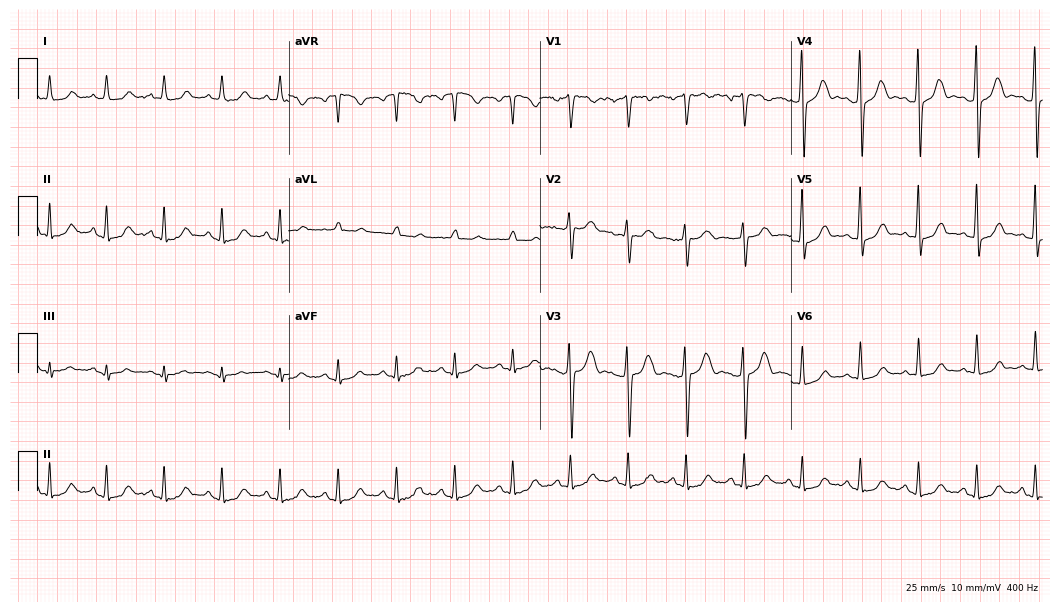
12-lead ECG from a woman, 46 years old (10.2-second recording at 400 Hz). No first-degree AV block, right bundle branch block, left bundle branch block, sinus bradycardia, atrial fibrillation or sinus tachycardia recorded for this tracing. Findings outside these six are not listed.